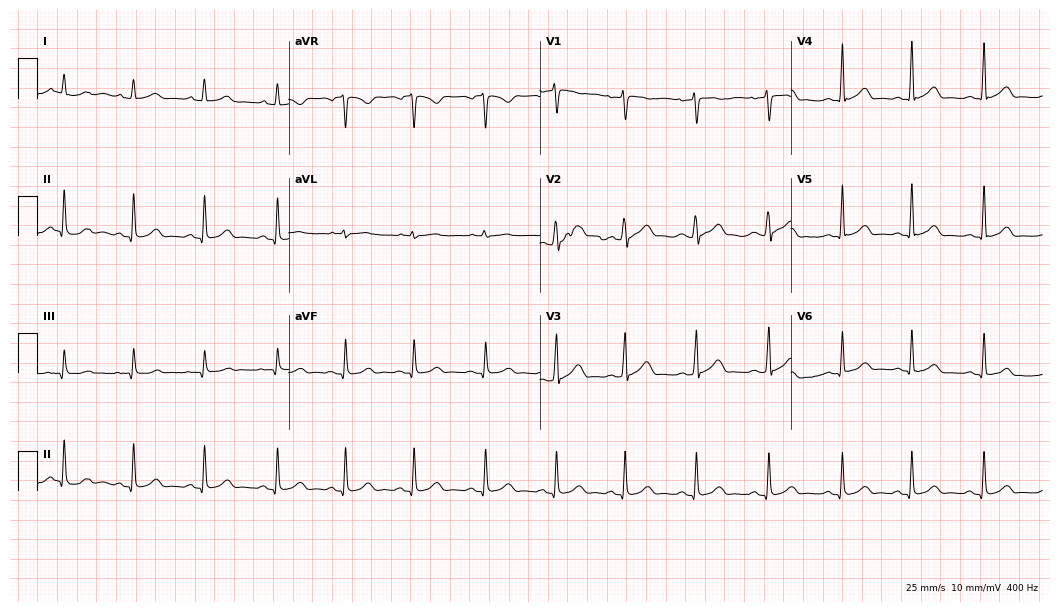
Resting 12-lead electrocardiogram (10.2-second recording at 400 Hz). Patient: a female, 24 years old. Read as a normal ECG.